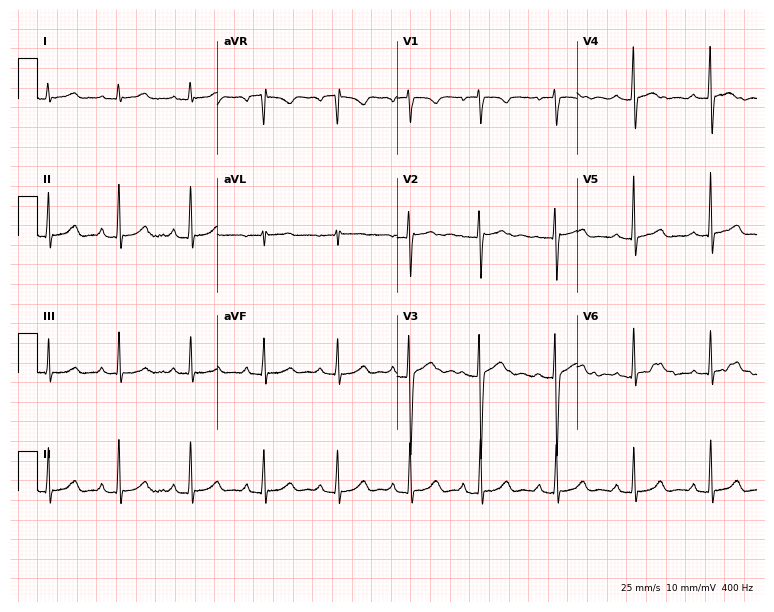
12-lead ECG from a 21-year-old female patient. Labelled as a normal ECG.